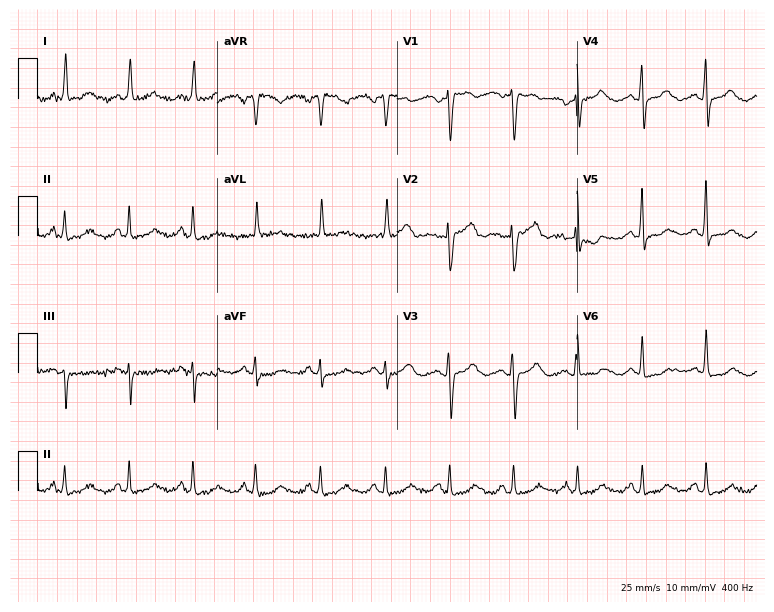
Standard 12-lead ECG recorded from a female patient, 61 years old. Read as a normal ECG.